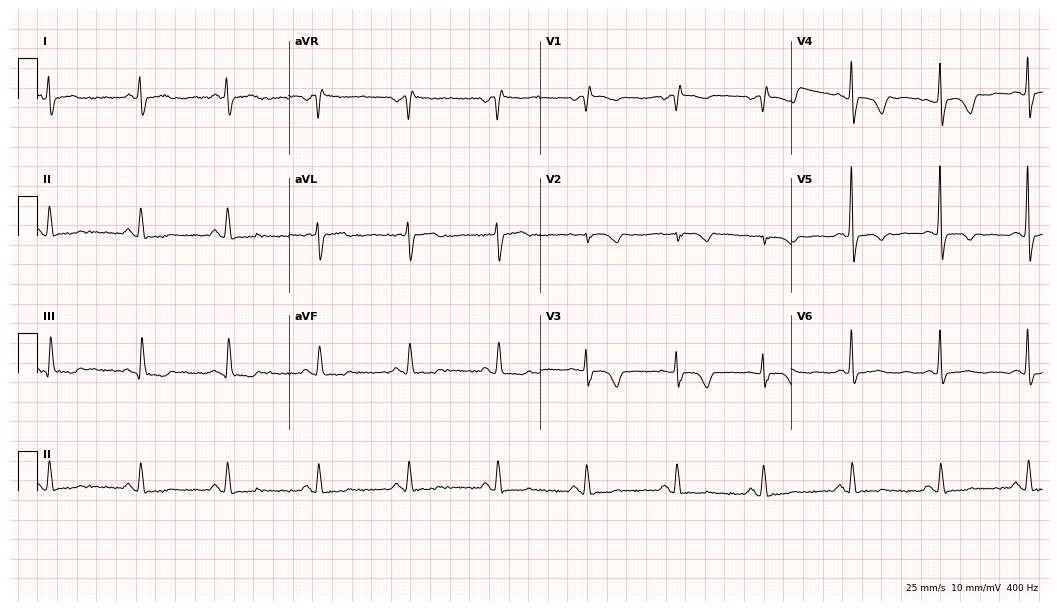
Electrocardiogram, a woman, 67 years old. Of the six screened findings (first-degree AV block, right bundle branch block, left bundle branch block, sinus bradycardia, atrial fibrillation, sinus tachycardia), none is recorded.